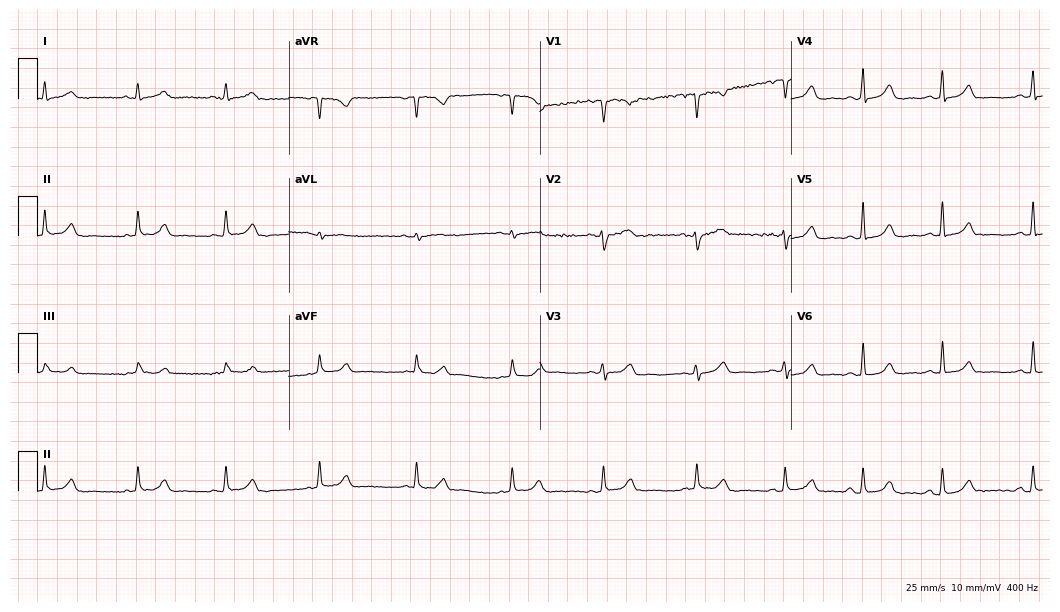
ECG — a woman, 40 years old. Labelled as a normal ECG.